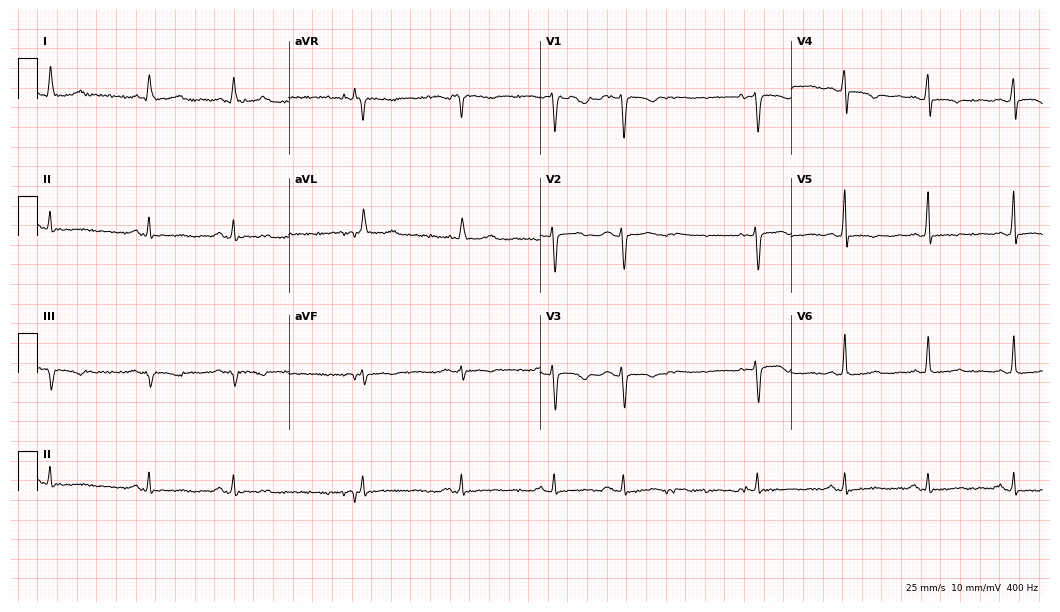
Electrocardiogram, a 59-year-old woman. Of the six screened findings (first-degree AV block, right bundle branch block (RBBB), left bundle branch block (LBBB), sinus bradycardia, atrial fibrillation (AF), sinus tachycardia), none is recorded. Only these six findings were labelled.